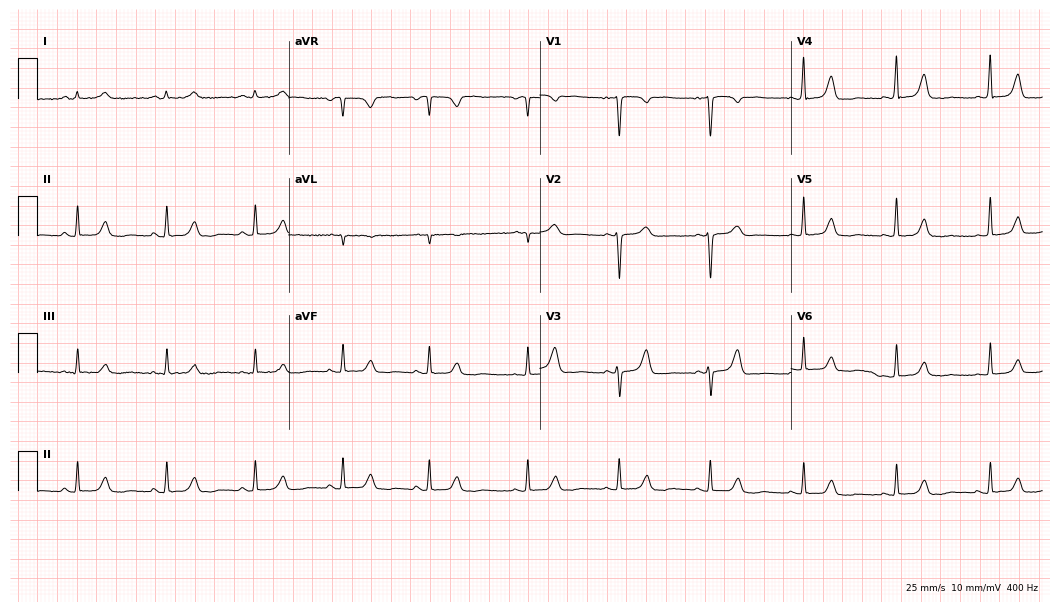
12-lead ECG (10.2-second recording at 400 Hz) from a 60-year-old woman. Labelled as a normal ECG.